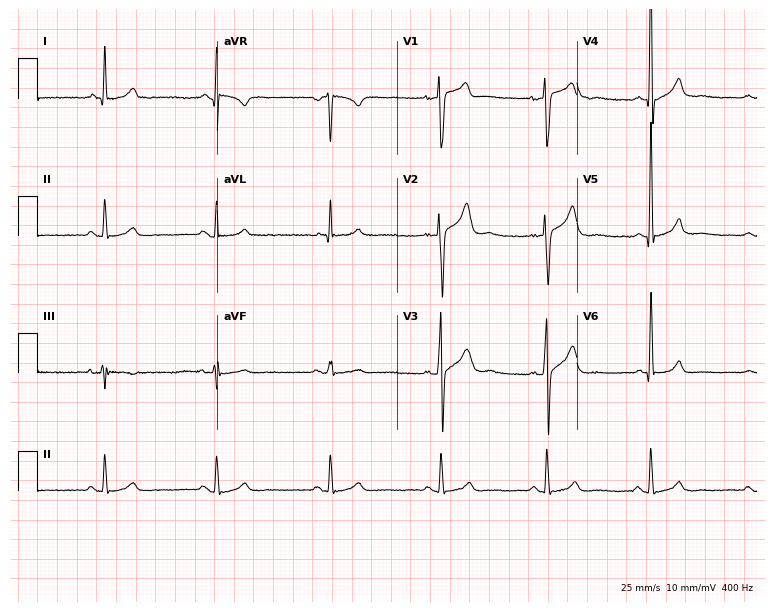
Standard 12-lead ECG recorded from a man, 42 years old. Read as a normal ECG.